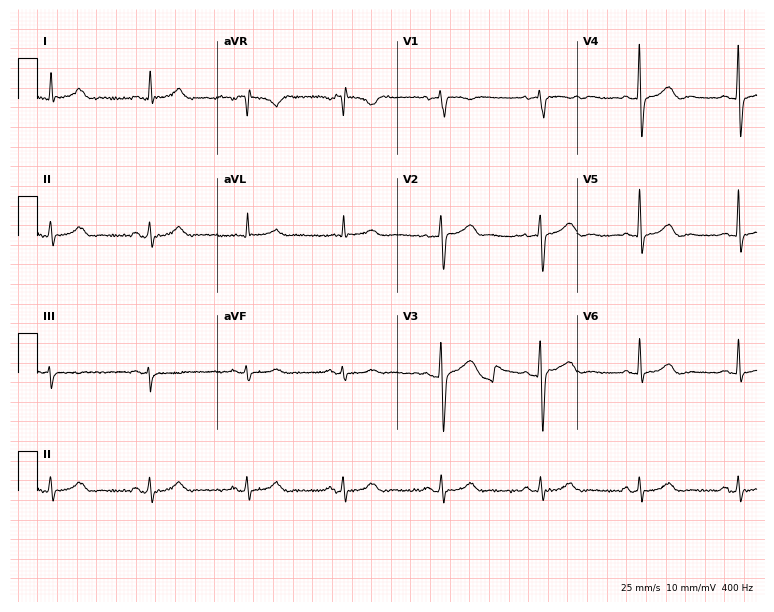
12-lead ECG from a man, 76 years old. Labelled as a normal ECG.